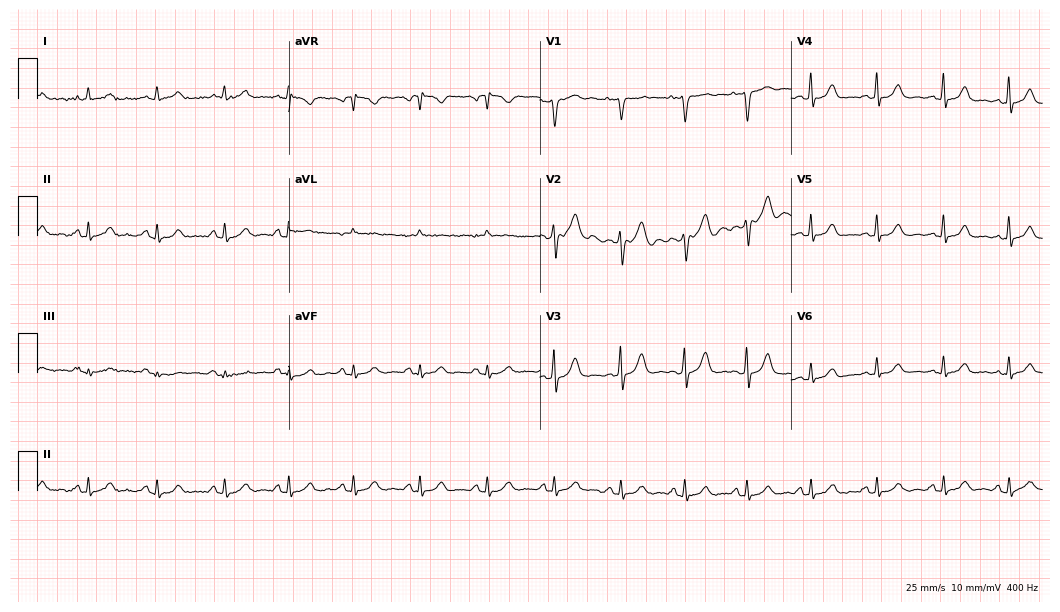
Standard 12-lead ECG recorded from a woman, 45 years old (10.2-second recording at 400 Hz). None of these six findings is recorded: first-degree AV block, right bundle branch block (RBBB), left bundle branch block (LBBB), sinus bradycardia, atrial fibrillation (AF), sinus tachycardia. Other findings, if any, are not listed.